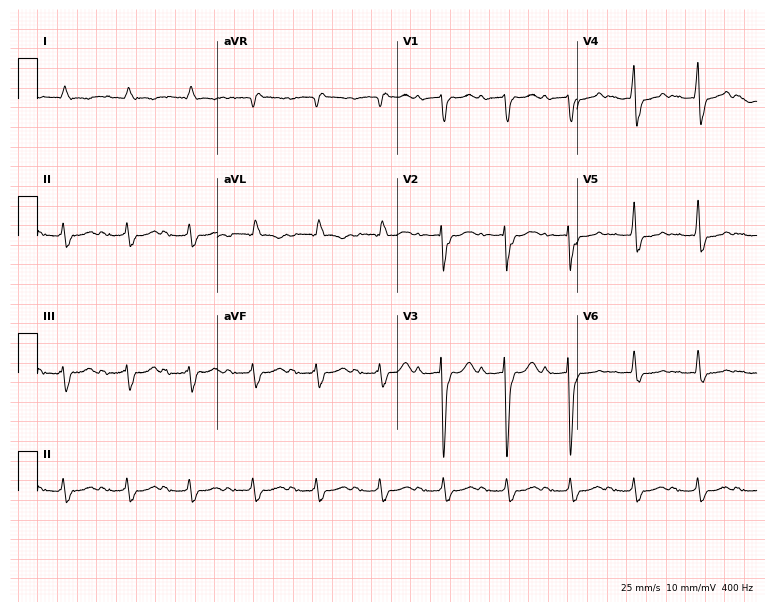
ECG — a male, 84 years old. Findings include first-degree AV block.